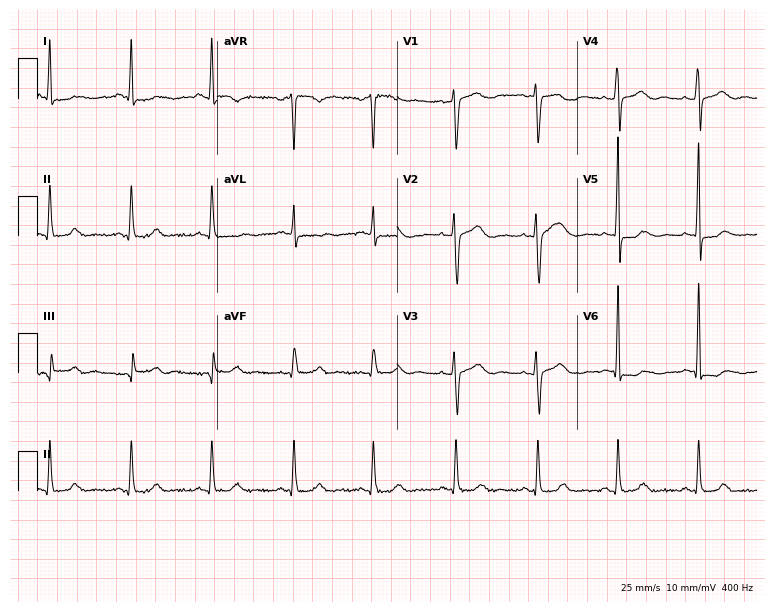
Resting 12-lead electrocardiogram (7.3-second recording at 400 Hz). Patient: a 38-year-old female. None of these six findings is recorded: first-degree AV block, right bundle branch block, left bundle branch block, sinus bradycardia, atrial fibrillation, sinus tachycardia. Other findings, if any, are not listed.